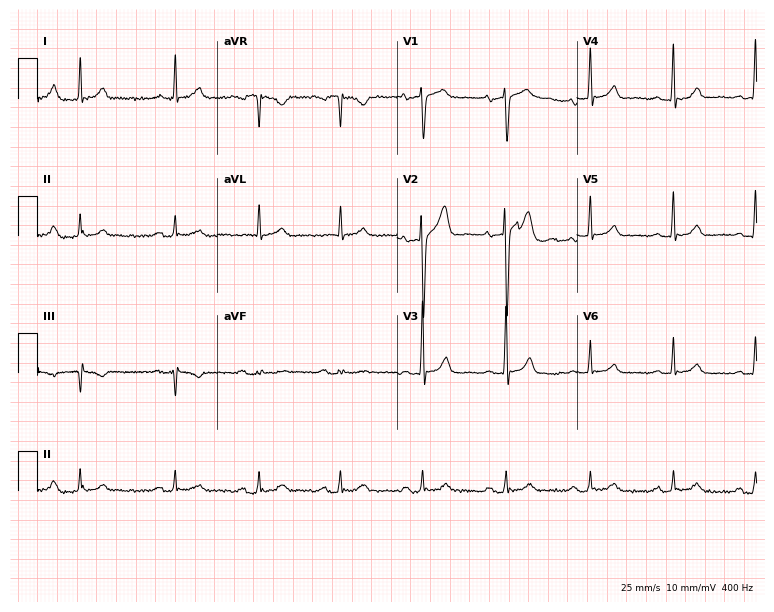
12-lead ECG from a man, 79 years old (7.3-second recording at 400 Hz). No first-degree AV block, right bundle branch block (RBBB), left bundle branch block (LBBB), sinus bradycardia, atrial fibrillation (AF) or sinus tachycardia recorded for this tracing.